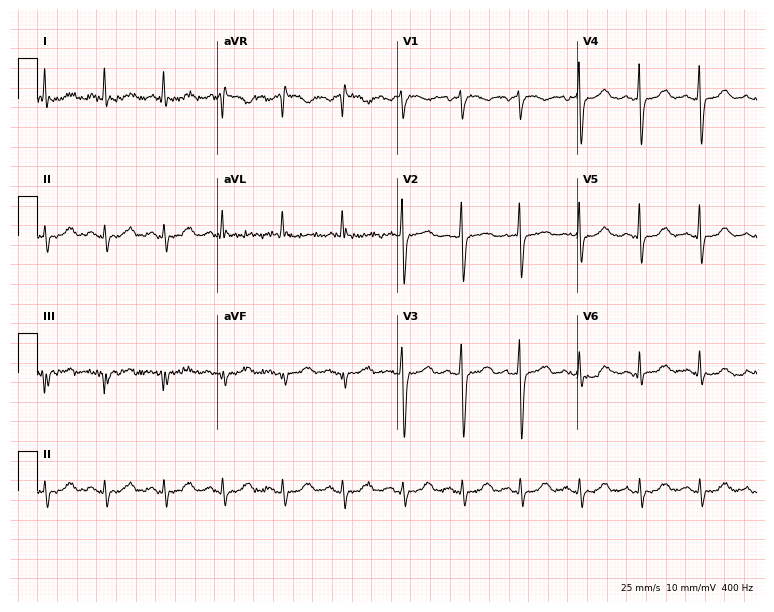
Standard 12-lead ECG recorded from a woman, 69 years old (7.3-second recording at 400 Hz). None of these six findings is recorded: first-degree AV block, right bundle branch block (RBBB), left bundle branch block (LBBB), sinus bradycardia, atrial fibrillation (AF), sinus tachycardia. Only these six findings were labelled.